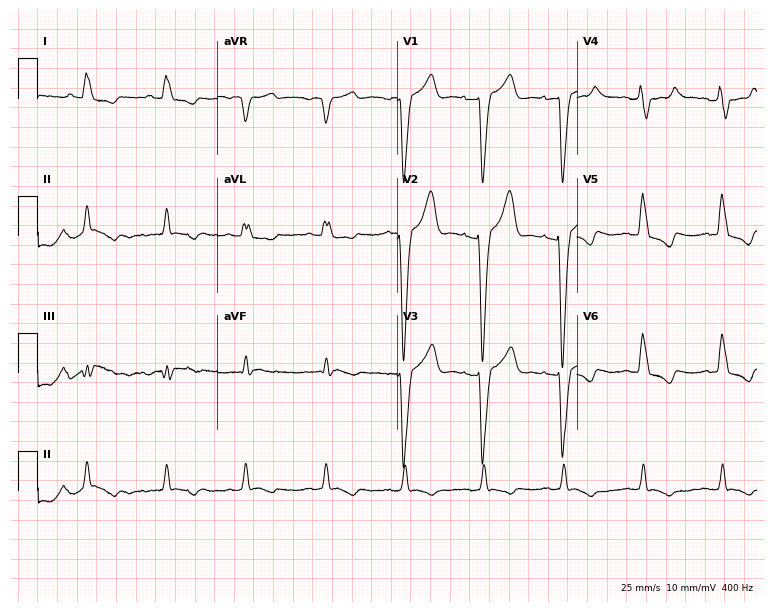
12-lead ECG from an 80-year-old male patient. Shows left bundle branch block.